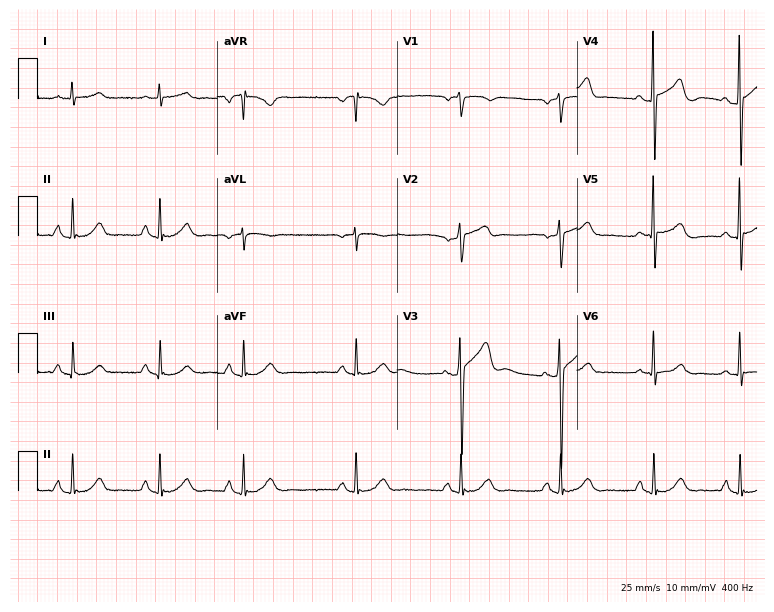
ECG (7.3-second recording at 400 Hz) — an 84-year-old male. Labelled as a normal ECG.